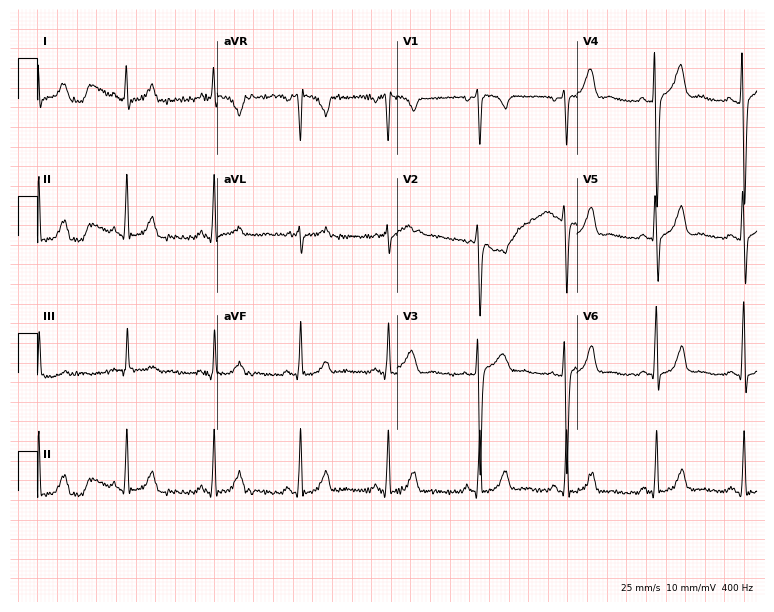
12-lead ECG from a 32-year-old man. Labelled as a normal ECG.